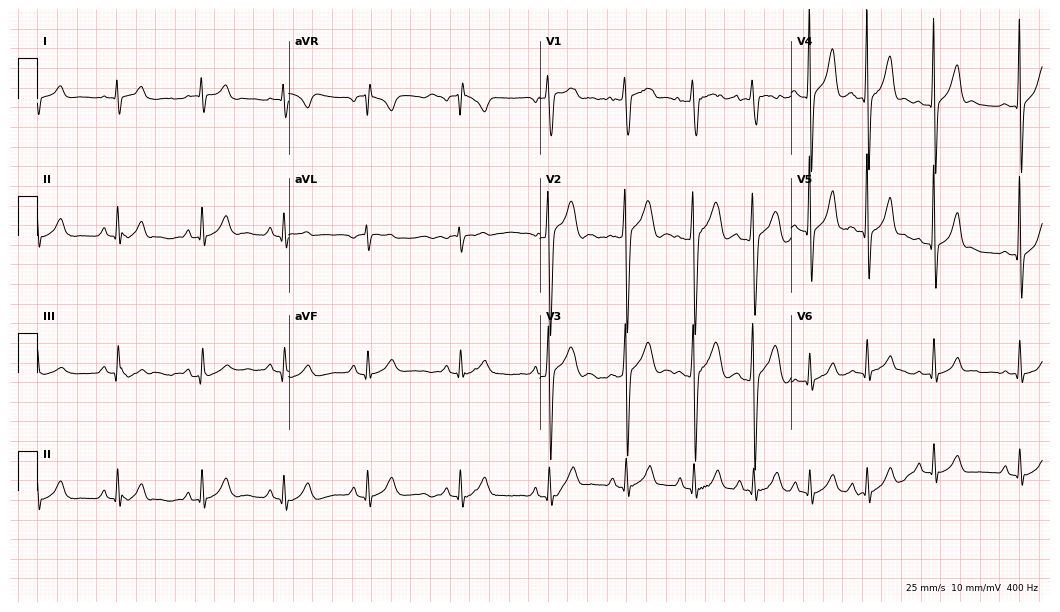
12-lead ECG (10.2-second recording at 400 Hz) from an 18-year-old male. Labelled as a normal ECG.